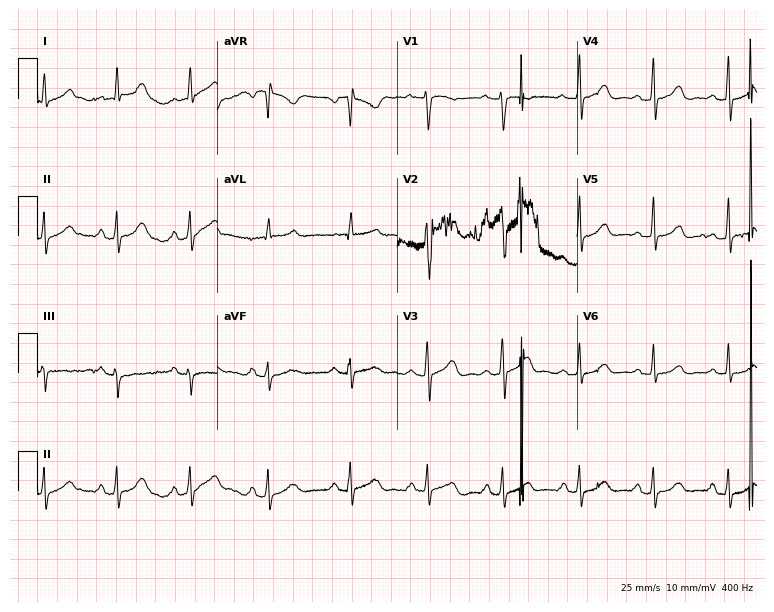
Electrocardiogram (7.3-second recording at 400 Hz), a 39-year-old woman. Of the six screened findings (first-degree AV block, right bundle branch block (RBBB), left bundle branch block (LBBB), sinus bradycardia, atrial fibrillation (AF), sinus tachycardia), none is recorded.